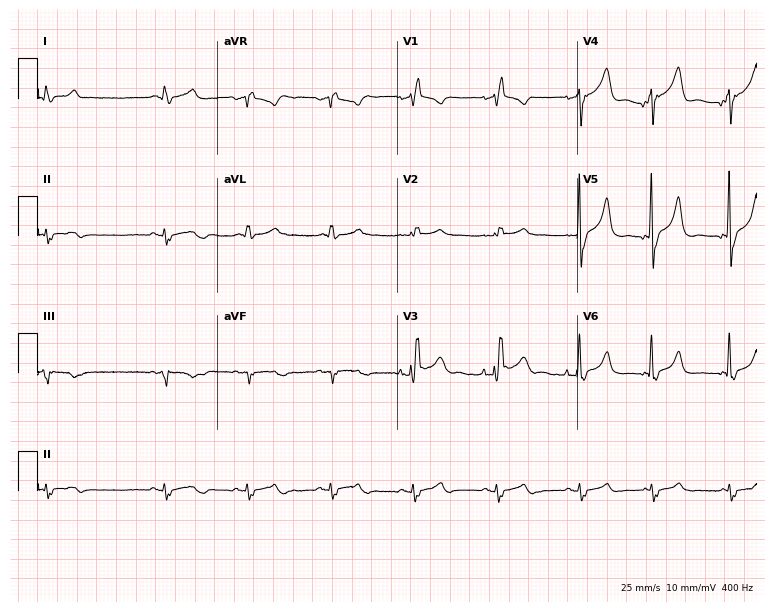
12-lead ECG (7.3-second recording at 400 Hz) from a 68-year-old man. Findings include right bundle branch block (RBBB).